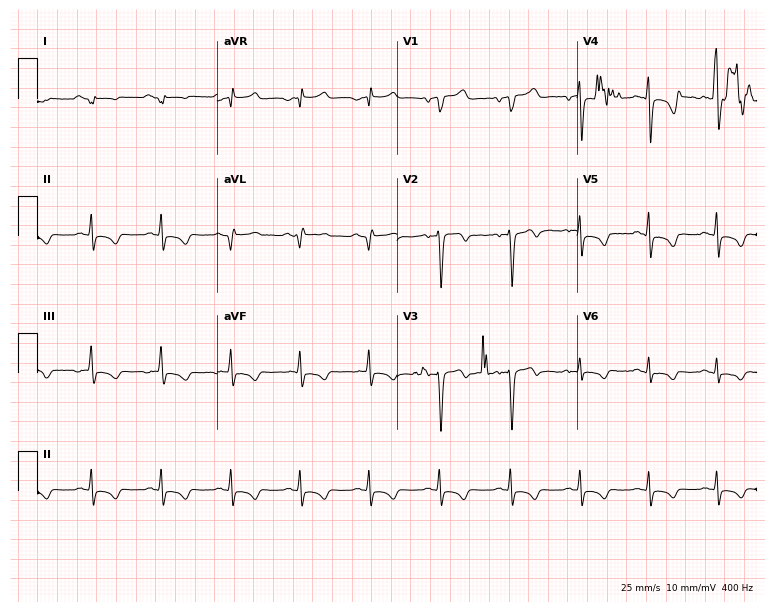
Electrocardiogram, a female, 62 years old. Of the six screened findings (first-degree AV block, right bundle branch block, left bundle branch block, sinus bradycardia, atrial fibrillation, sinus tachycardia), none is recorded.